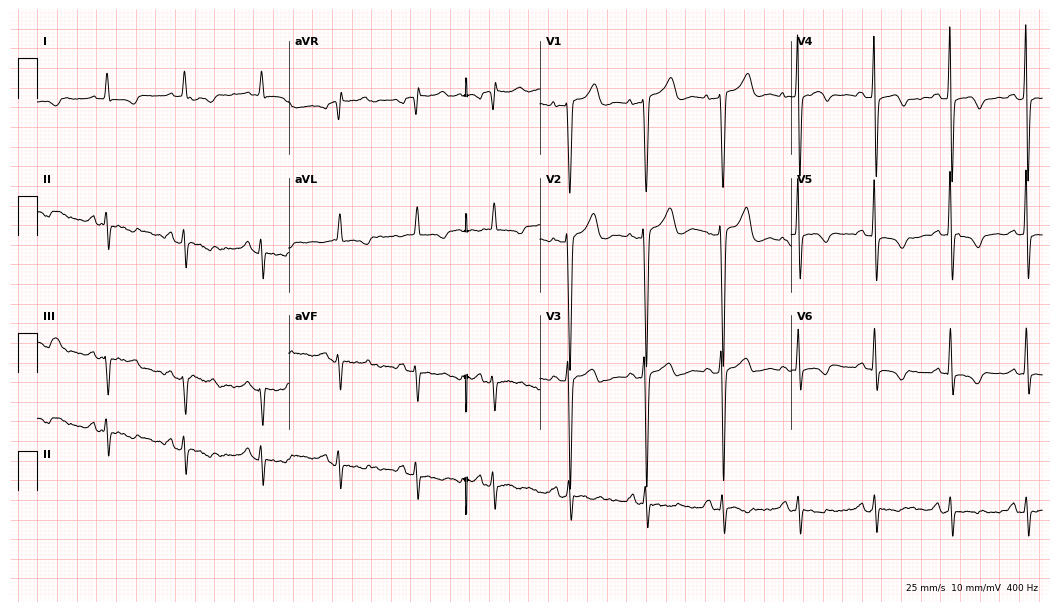
12-lead ECG from a 79-year-old female. No first-degree AV block, right bundle branch block, left bundle branch block, sinus bradycardia, atrial fibrillation or sinus tachycardia recorded for this tracing.